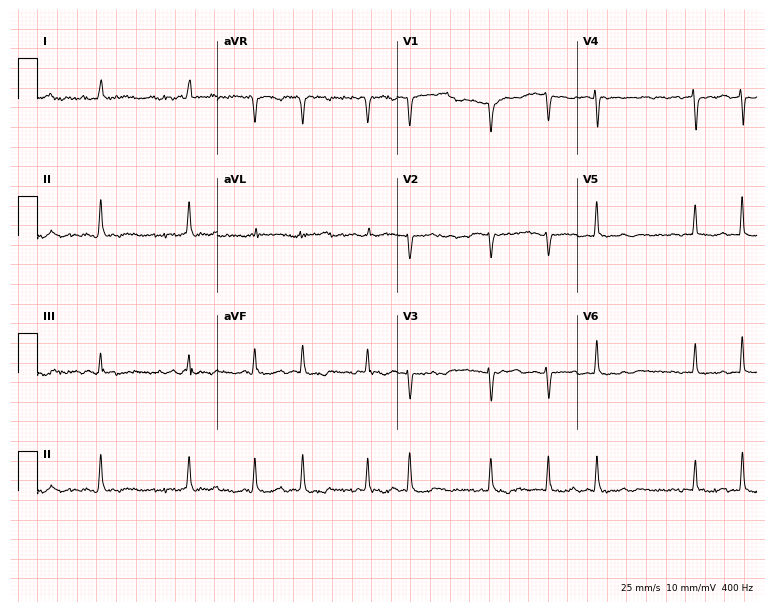
Electrocardiogram, a female patient, 63 years old. Of the six screened findings (first-degree AV block, right bundle branch block (RBBB), left bundle branch block (LBBB), sinus bradycardia, atrial fibrillation (AF), sinus tachycardia), none is recorded.